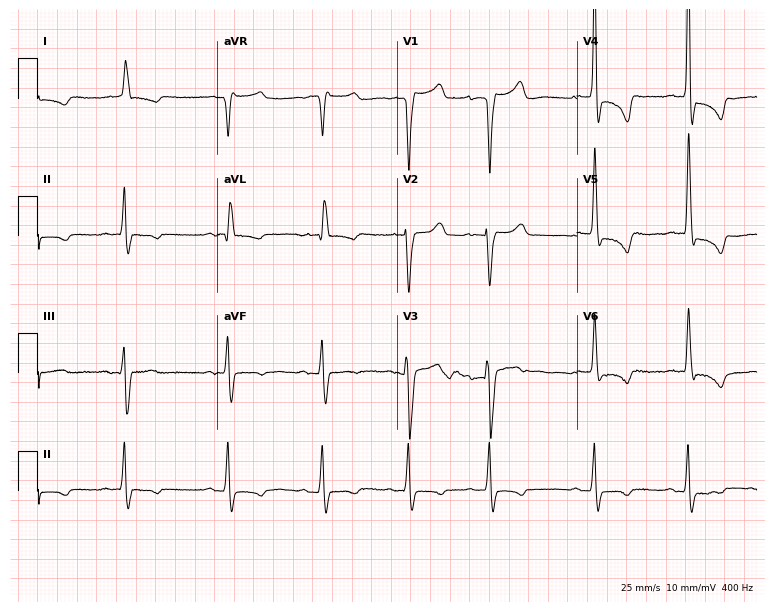
Resting 12-lead electrocardiogram (7.3-second recording at 400 Hz). Patient: an 83-year-old male. None of these six findings is recorded: first-degree AV block, right bundle branch block (RBBB), left bundle branch block (LBBB), sinus bradycardia, atrial fibrillation (AF), sinus tachycardia. Only these six findings were labelled.